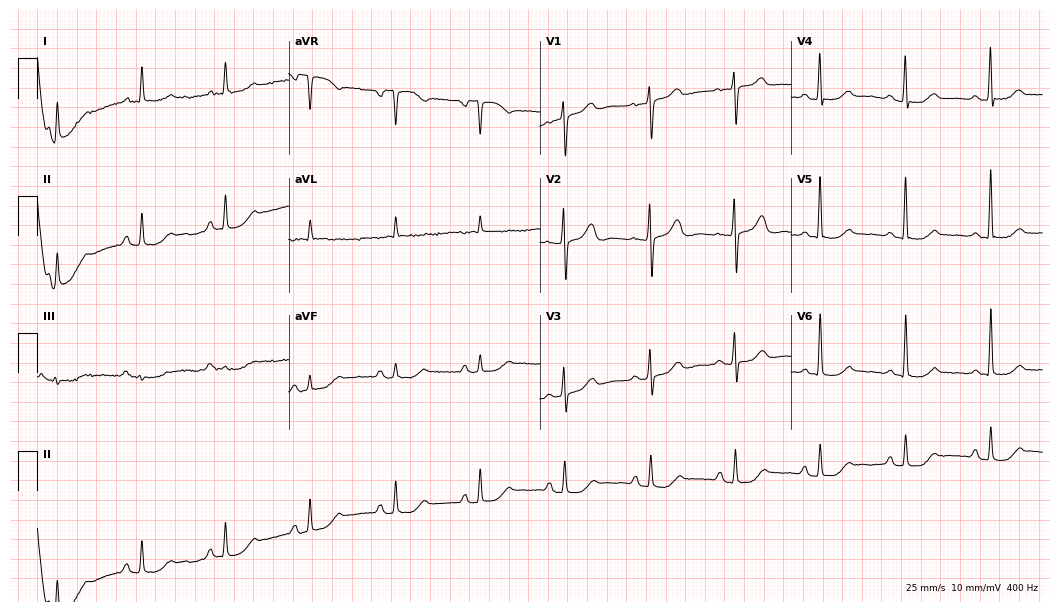
12-lead ECG from an 81-year-old female patient. No first-degree AV block, right bundle branch block, left bundle branch block, sinus bradycardia, atrial fibrillation or sinus tachycardia recorded for this tracing.